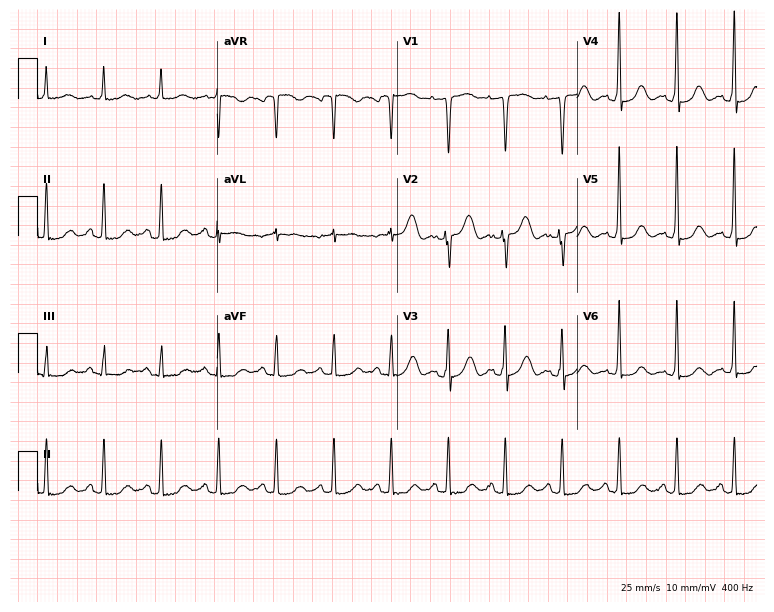
12-lead ECG (7.3-second recording at 400 Hz) from a female, 69 years old. Findings include sinus tachycardia (a sinus rate of 100 beats per minute or more).